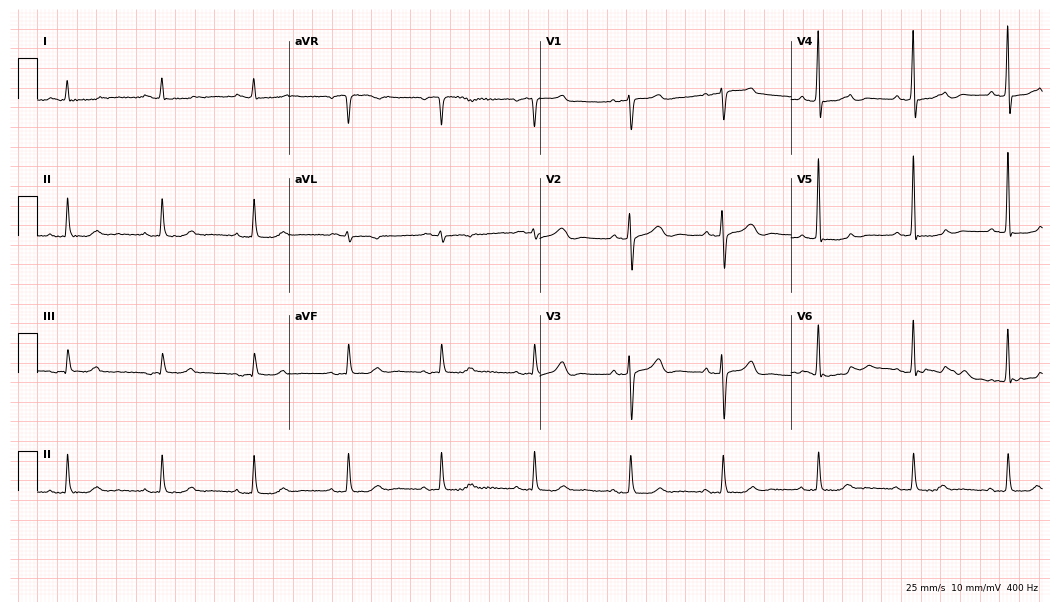
12-lead ECG (10.2-second recording at 400 Hz) from a female patient, 84 years old. Screened for six findings — first-degree AV block, right bundle branch block, left bundle branch block, sinus bradycardia, atrial fibrillation, sinus tachycardia — none is recorded.